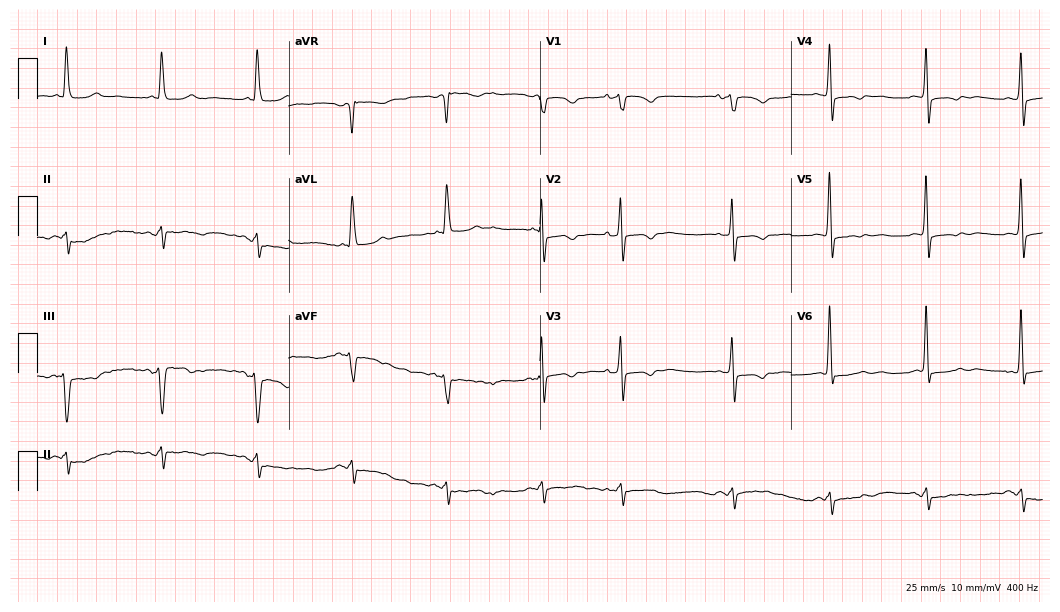
Standard 12-lead ECG recorded from a woman, 83 years old. None of these six findings is recorded: first-degree AV block, right bundle branch block (RBBB), left bundle branch block (LBBB), sinus bradycardia, atrial fibrillation (AF), sinus tachycardia. Only these six findings were labelled.